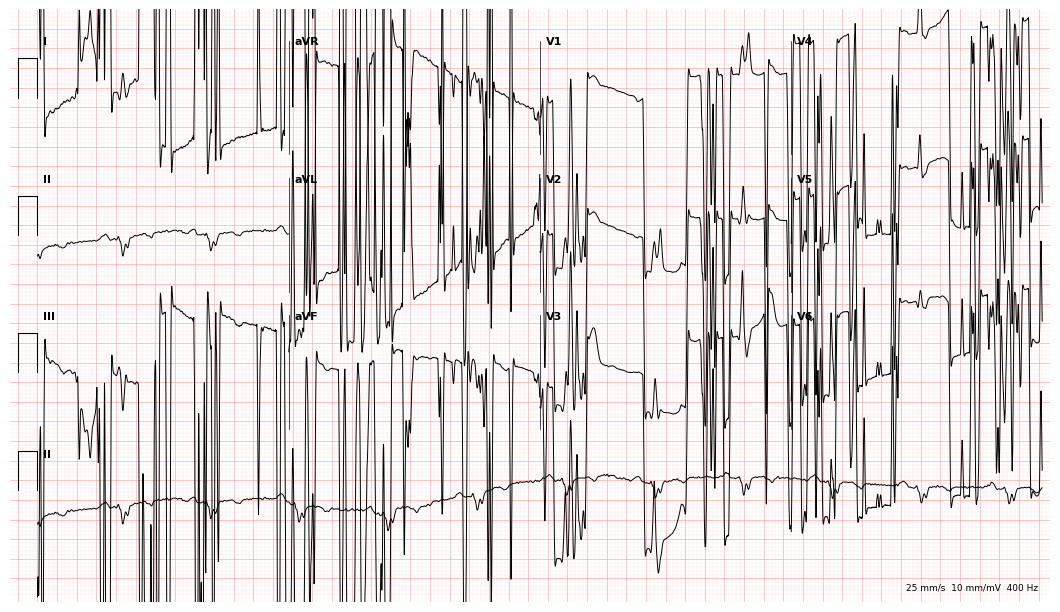
ECG (10.2-second recording at 400 Hz) — a 78-year-old male. Screened for six findings — first-degree AV block, right bundle branch block (RBBB), left bundle branch block (LBBB), sinus bradycardia, atrial fibrillation (AF), sinus tachycardia — none is recorded. Findings outside these six are not listed.